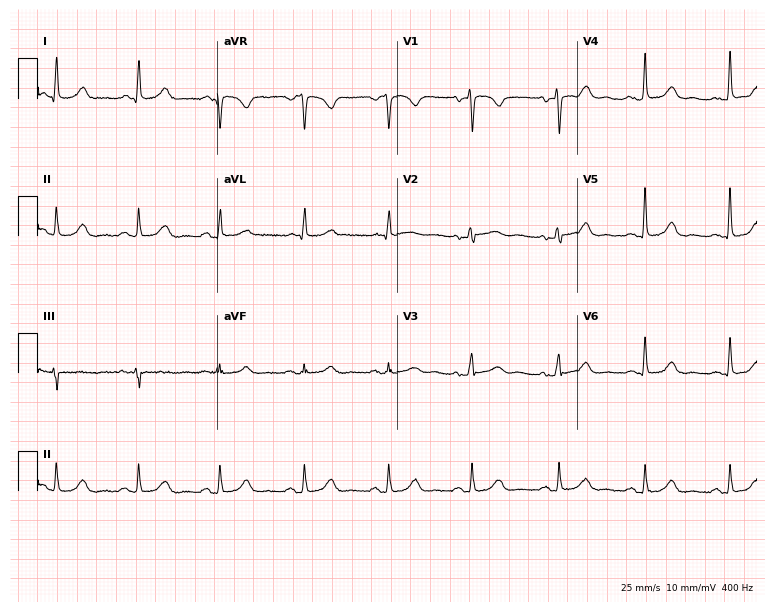
12-lead ECG from a 58-year-old woman (7.3-second recording at 400 Hz). Recorded interpretation: within normal limits.